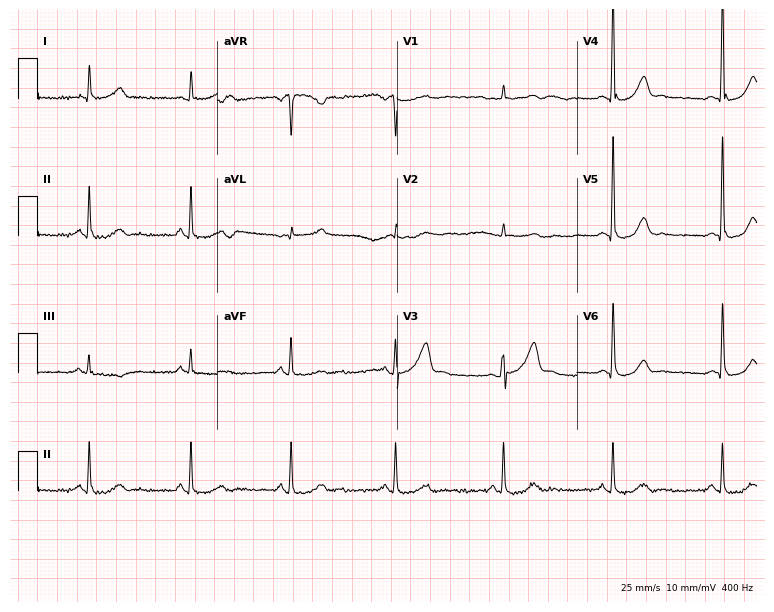
12-lead ECG from a 52-year-old man (7.3-second recording at 400 Hz). Recorded interpretation: within normal limits.